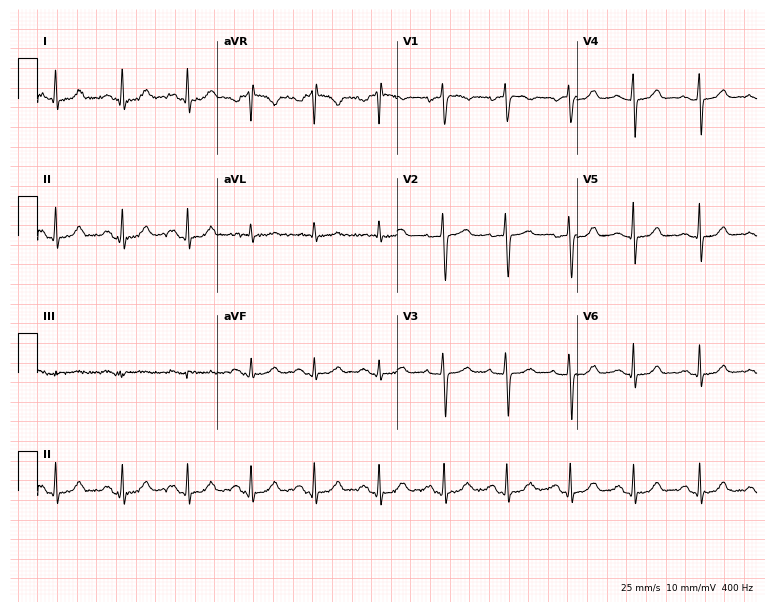
Resting 12-lead electrocardiogram. Patient: a female, 47 years old. Read as a normal ECG.